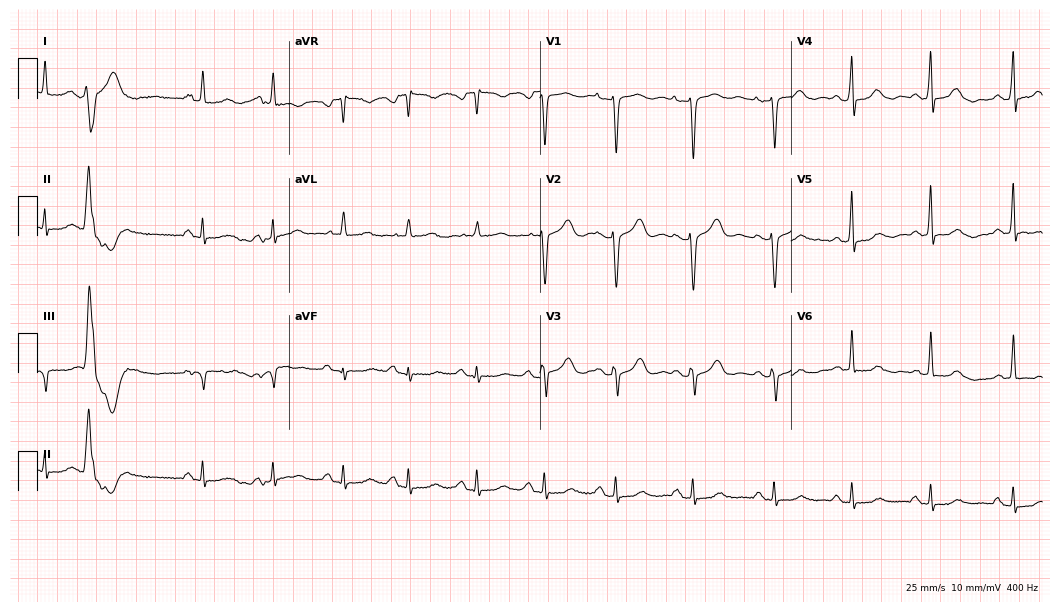
Electrocardiogram (10.2-second recording at 400 Hz), a 58-year-old female patient. Of the six screened findings (first-degree AV block, right bundle branch block (RBBB), left bundle branch block (LBBB), sinus bradycardia, atrial fibrillation (AF), sinus tachycardia), none is recorded.